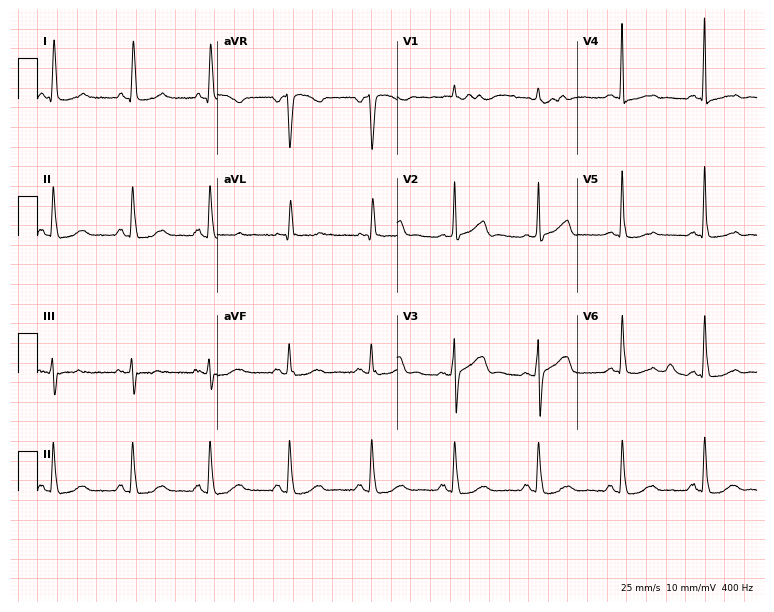
Standard 12-lead ECG recorded from a female, 76 years old. Read as a normal ECG.